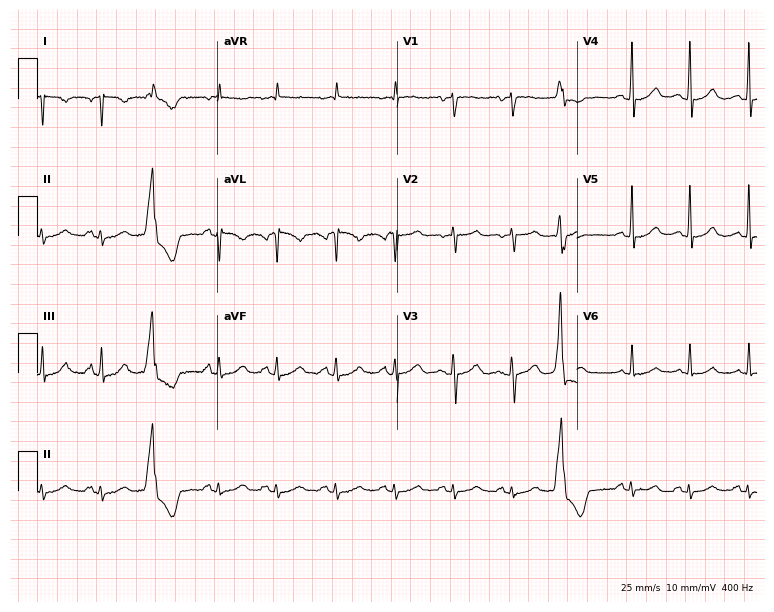
Resting 12-lead electrocardiogram (7.3-second recording at 400 Hz). Patient: a woman, 84 years old. None of these six findings is recorded: first-degree AV block, right bundle branch block, left bundle branch block, sinus bradycardia, atrial fibrillation, sinus tachycardia.